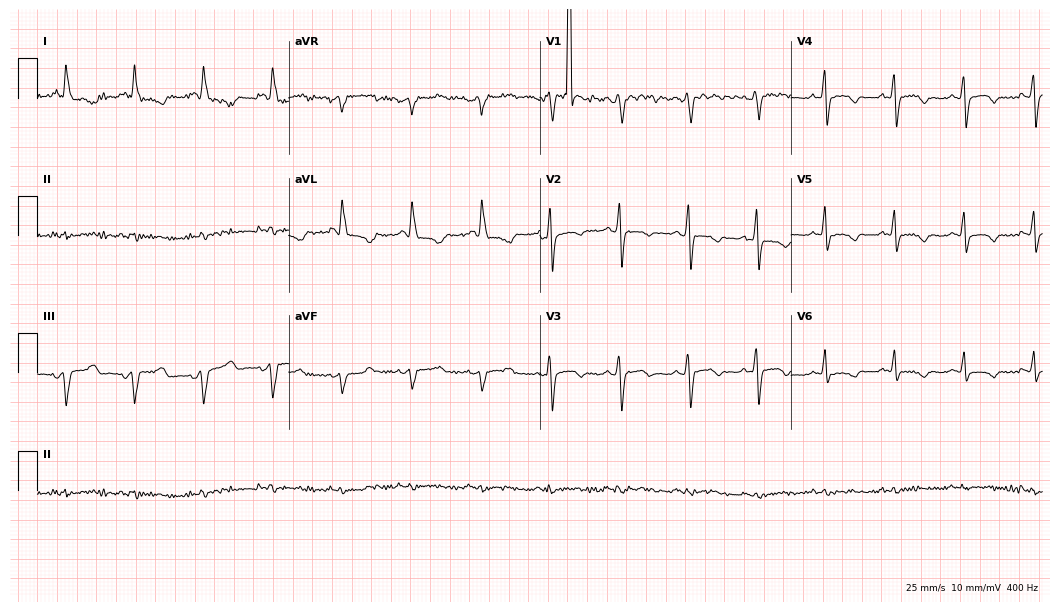
12-lead ECG from a woman, 79 years old. Screened for six findings — first-degree AV block, right bundle branch block (RBBB), left bundle branch block (LBBB), sinus bradycardia, atrial fibrillation (AF), sinus tachycardia — none is recorded. Findings outside these six are not listed.